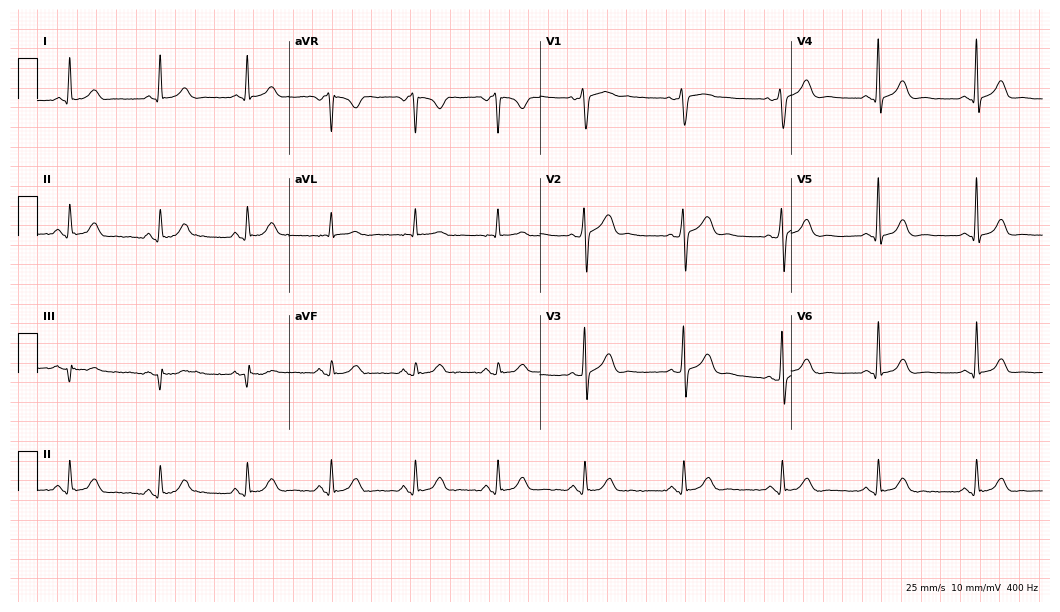
Standard 12-lead ECG recorded from a woman, 55 years old. Read as a normal ECG.